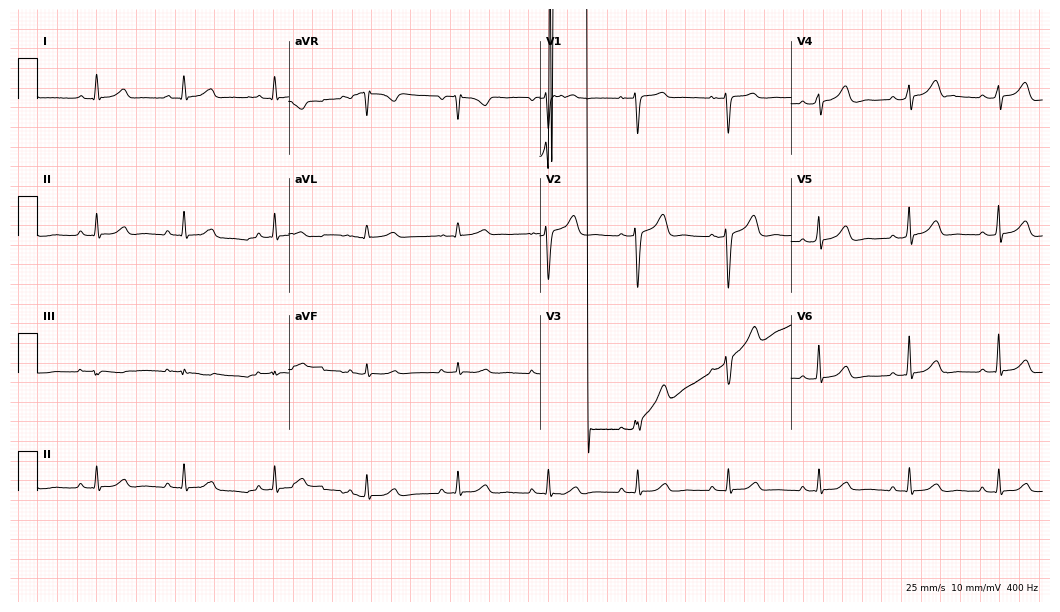
Resting 12-lead electrocardiogram (10.2-second recording at 400 Hz). Patient: a 47-year-old woman. None of these six findings is recorded: first-degree AV block, right bundle branch block, left bundle branch block, sinus bradycardia, atrial fibrillation, sinus tachycardia.